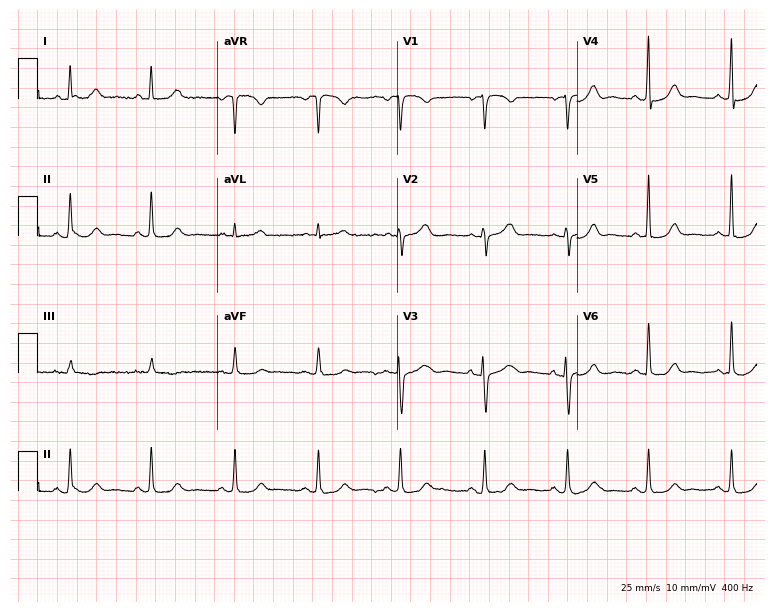
12-lead ECG from a 51-year-old female. Recorded interpretation: within normal limits.